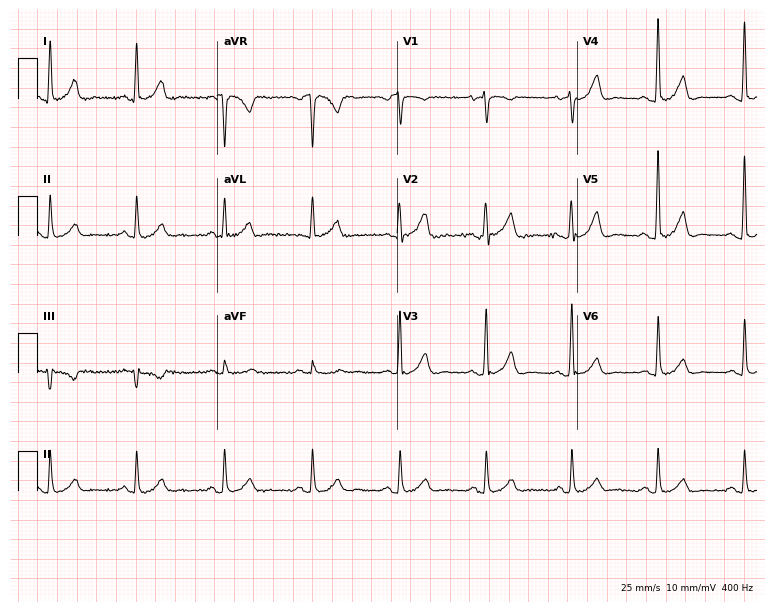
12-lead ECG from a male, 54 years old. Labelled as a normal ECG.